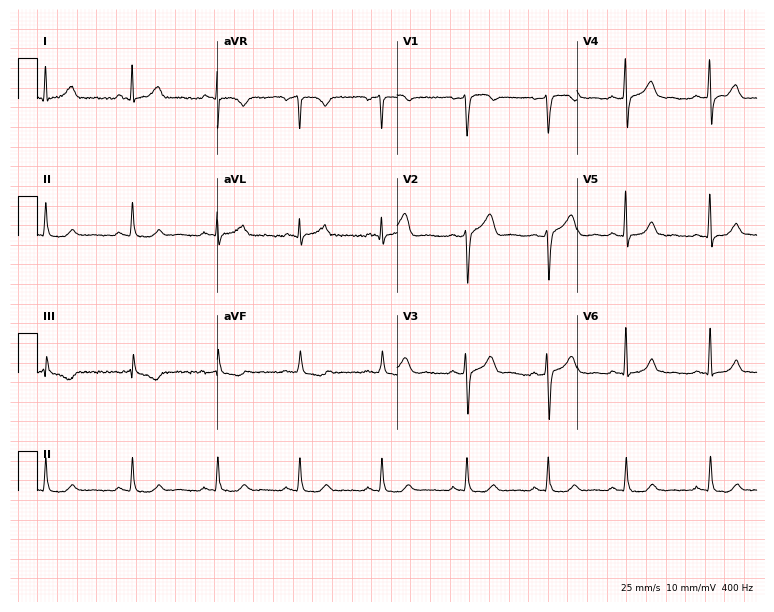
12-lead ECG from a male, 48 years old. Screened for six findings — first-degree AV block, right bundle branch block, left bundle branch block, sinus bradycardia, atrial fibrillation, sinus tachycardia — none is recorded. Only these six findings were labelled.